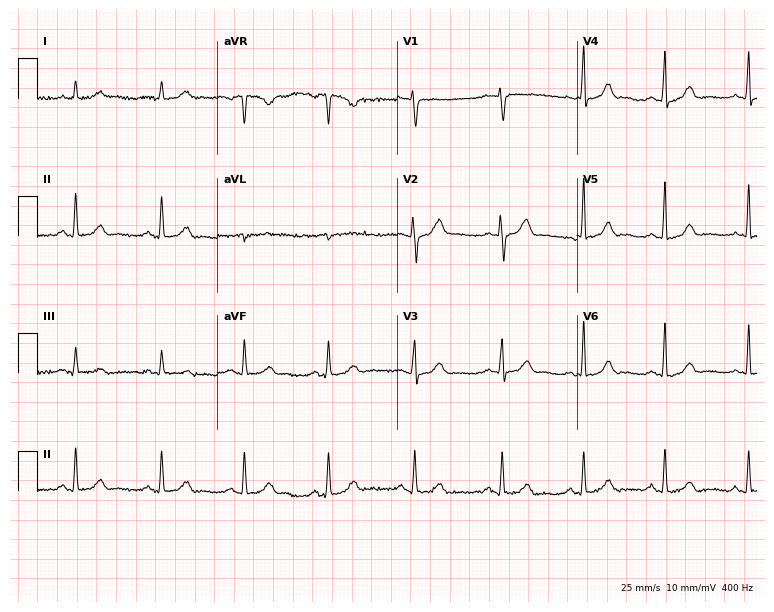
Resting 12-lead electrocardiogram. Patient: a woman, 58 years old. Read as a normal ECG.